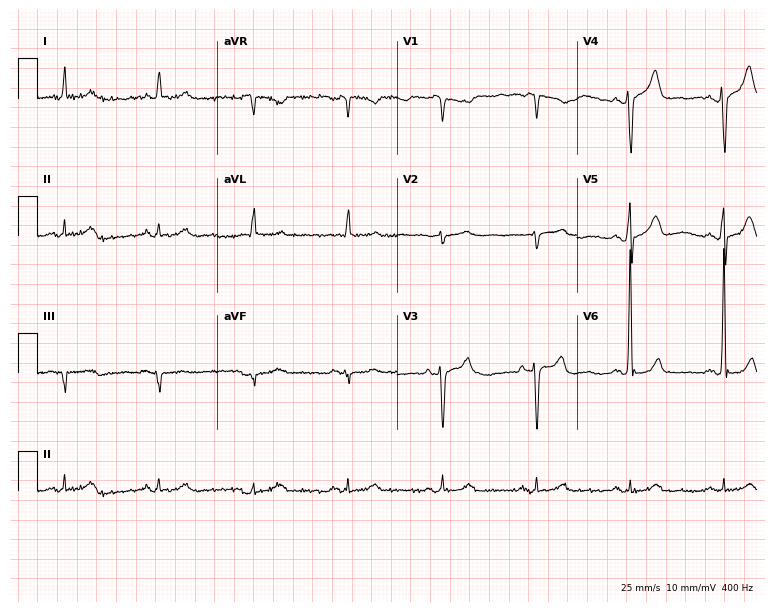
Standard 12-lead ECG recorded from an 83-year-old man. None of these six findings is recorded: first-degree AV block, right bundle branch block, left bundle branch block, sinus bradycardia, atrial fibrillation, sinus tachycardia. Findings outside these six are not listed.